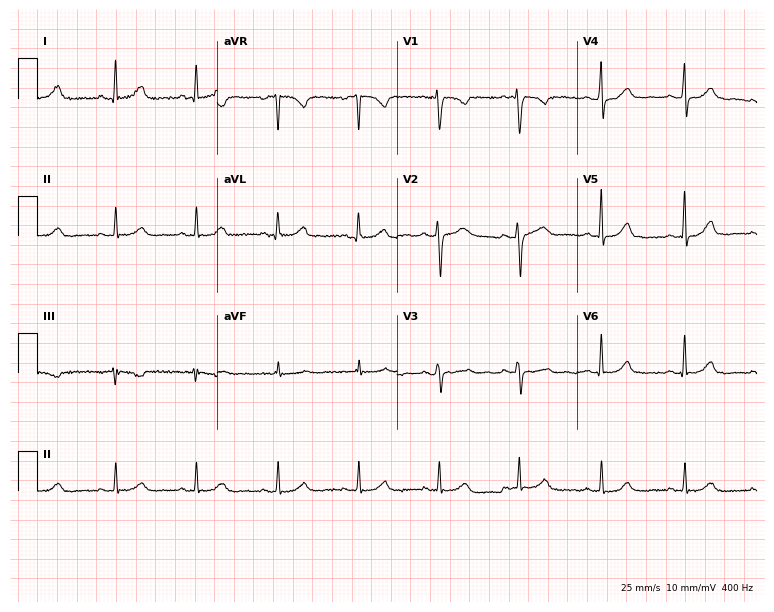
12-lead ECG from a female patient, 48 years old. Screened for six findings — first-degree AV block, right bundle branch block, left bundle branch block, sinus bradycardia, atrial fibrillation, sinus tachycardia — none is recorded.